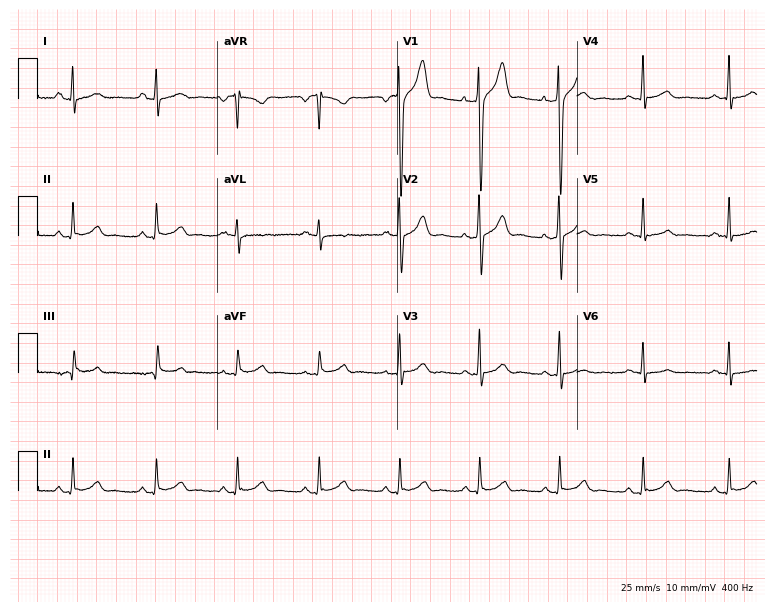
12-lead ECG from a male, 38 years old (7.3-second recording at 400 Hz). Recorded interpretation: within normal limits.